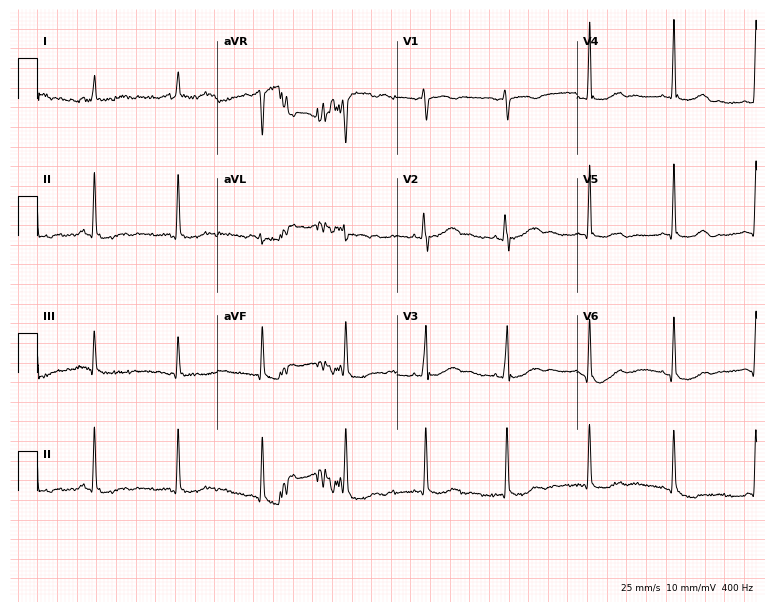
12-lead ECG (7.3-second recording at 400 Hz) from a female, 51 years old. Screened for six findings — first-degree AV block, right bundle branch block, left bundle branch block, sinus bradycardia, atrial fibrillation, sinus tachycardia — none is recorded. Other findings, if any, are not listed.